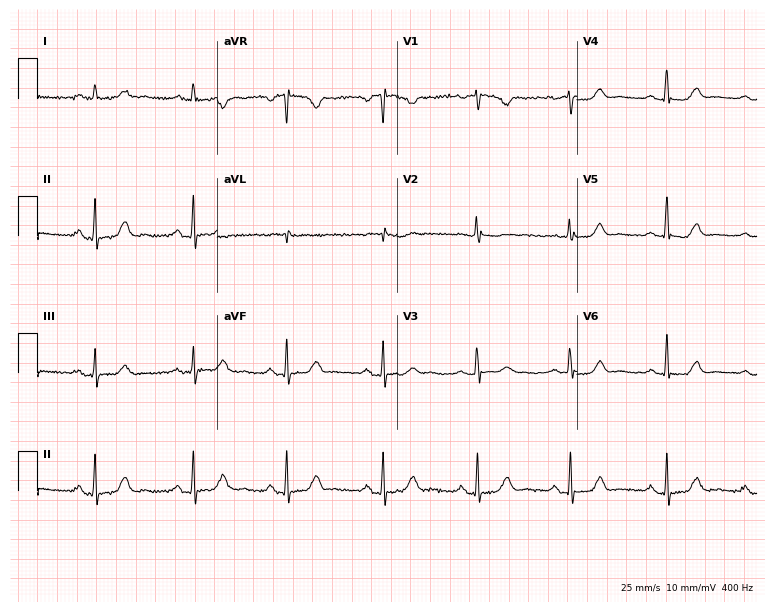
Standard 12-lead ECG recorded from a female, 57 years old. Read as a normal ECG.